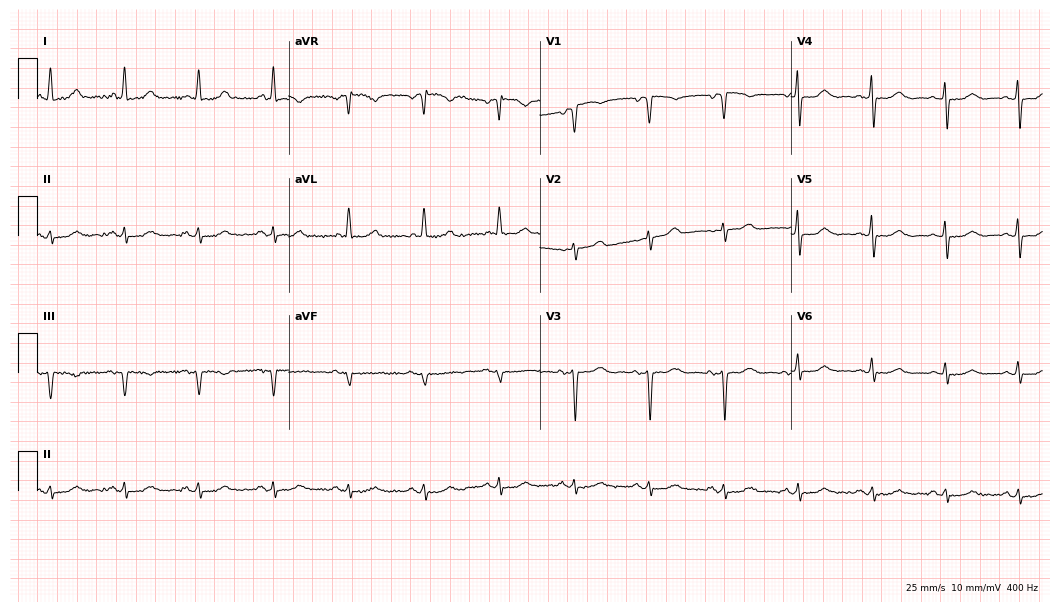
Resting 12-lead electrocardiogram (10.2-second recording at 400 Hz). Patient: a 72-year-old female. None of these six findings is recorded: first-degree AV block, right bundle branch block, left bundle branch block, sinus bradycardia, atrial fibrillation, sinus tachycardia. Findings outside these six are not listed.